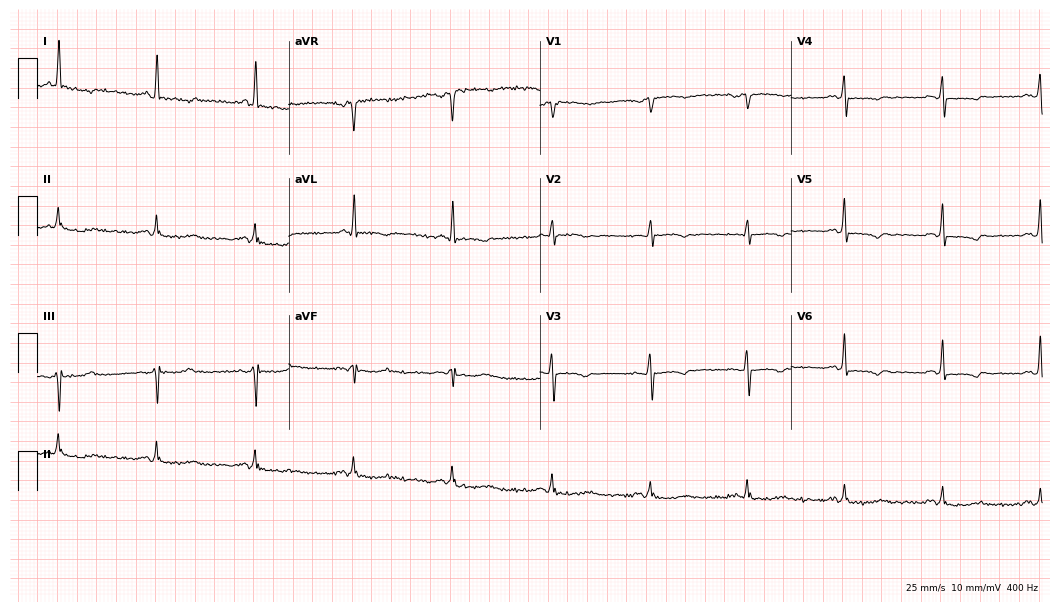
Electrocardiogram, a female, 67 years old. Of the six screened findings (first-degree AV block, right bundle branch block, left bundle branch block, sinus bradycardia, atrial fibrillation, sinus tachycardia), none is recorded.